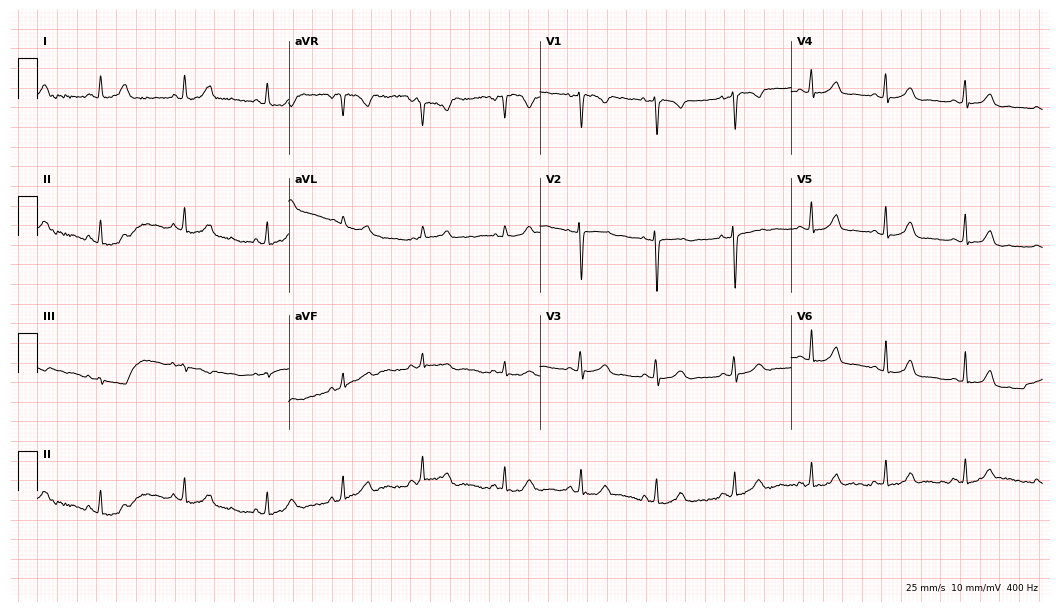
12-lead ECG from a female patient, 23 years old. Labelled as a normal ECG.